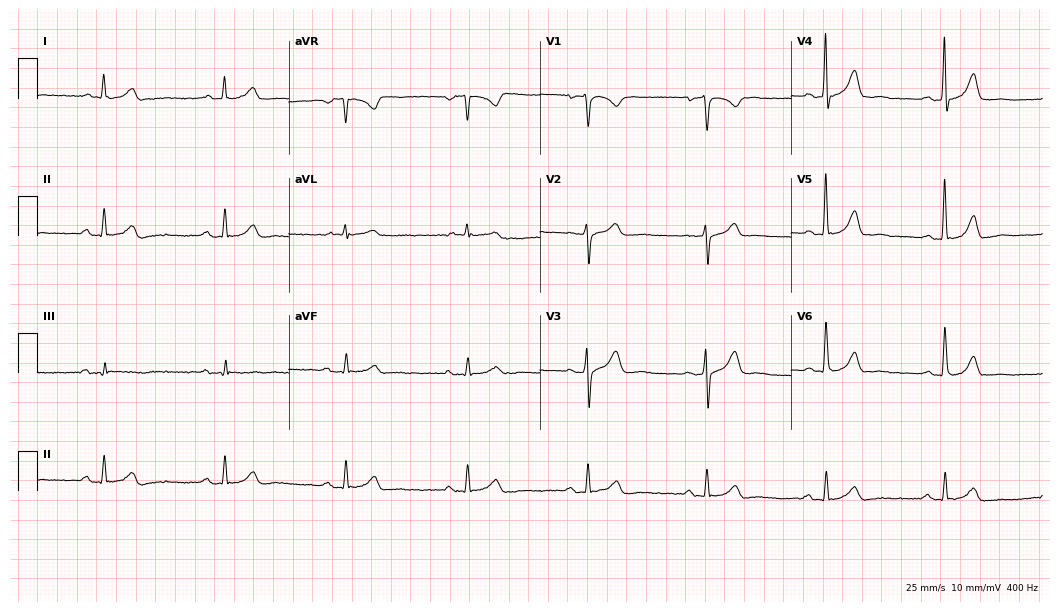
ECG (10.2-second recording at 400 Hz) — a 59-year-old male. Screened for six findings — first-degree AV block, right bundle branch block, left bundle branch block, sinus bradycardia, atrial fibrillation, sinus tachycardia — none is recorded.